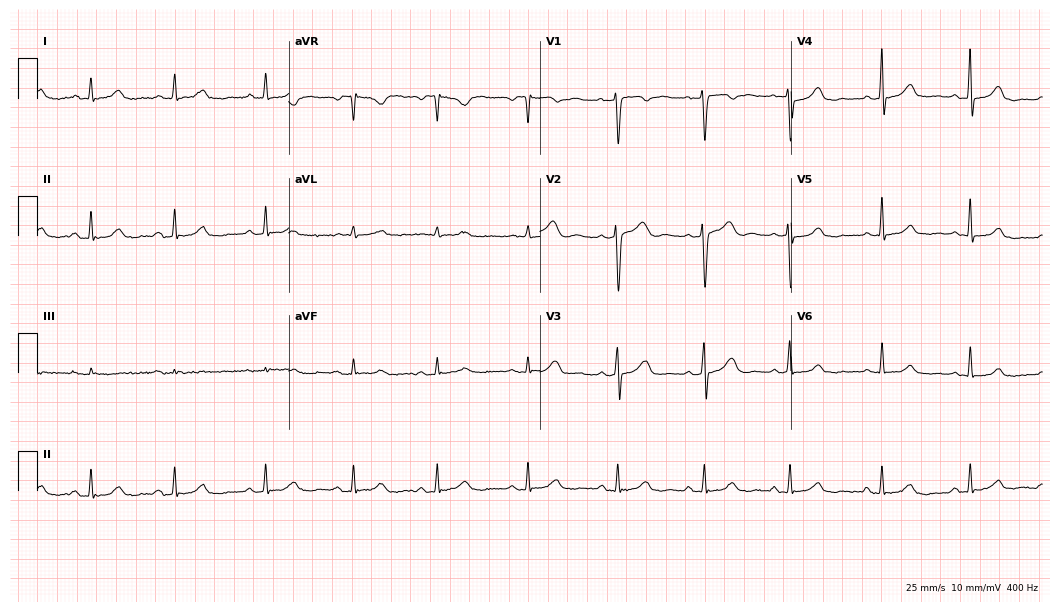
12-lead ECG from a female, 31 years old. Labelled as a normal ECG.